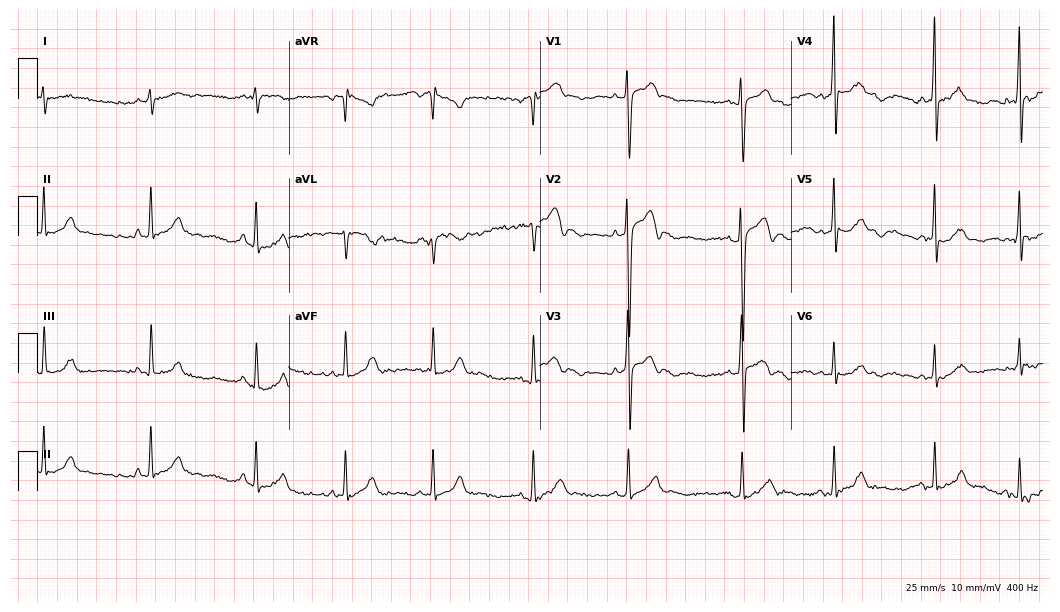
Resting 12-lead electrocardiogram (10.2-second recording at 400 Hz). Patient: an 18-year-old man. None of these six findings is recorded: first-degree AV block, right bundle branch block, left bundle branch block, sinus bradycardia, atrial fibrillation, sinus tachycardia. Findings outside these six are not listed.